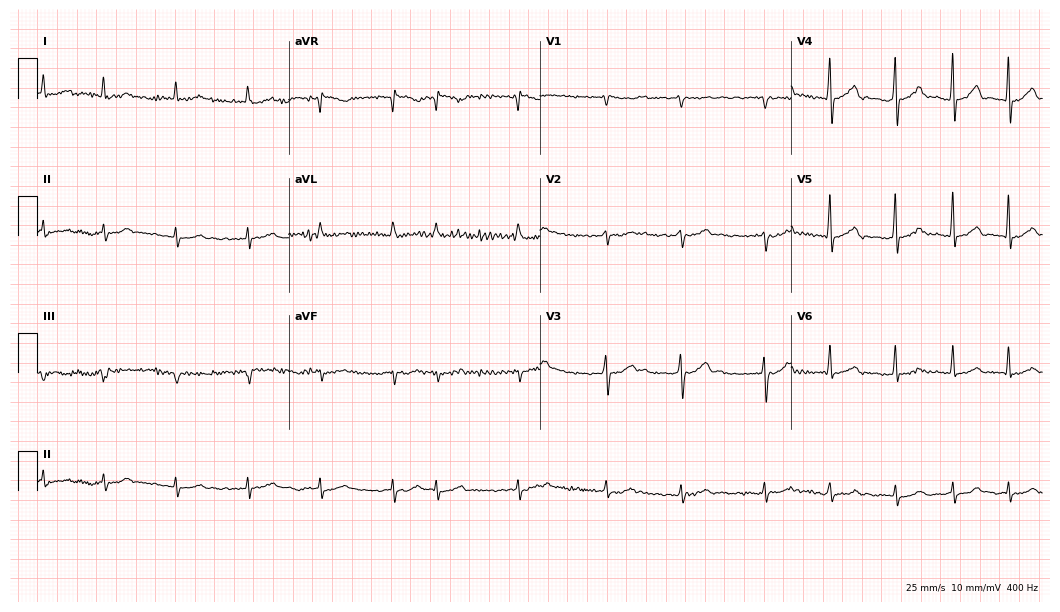
12-lead ECG from a male, 81 years old (10.2-second recording at 400 Hz). No first-degree AV block, right bundle branch block, left bundle branch block, sinus bradycardia, atrial fibrillation or sinus tachycardia recorded for this tracing. Findings outside these six are not listed.